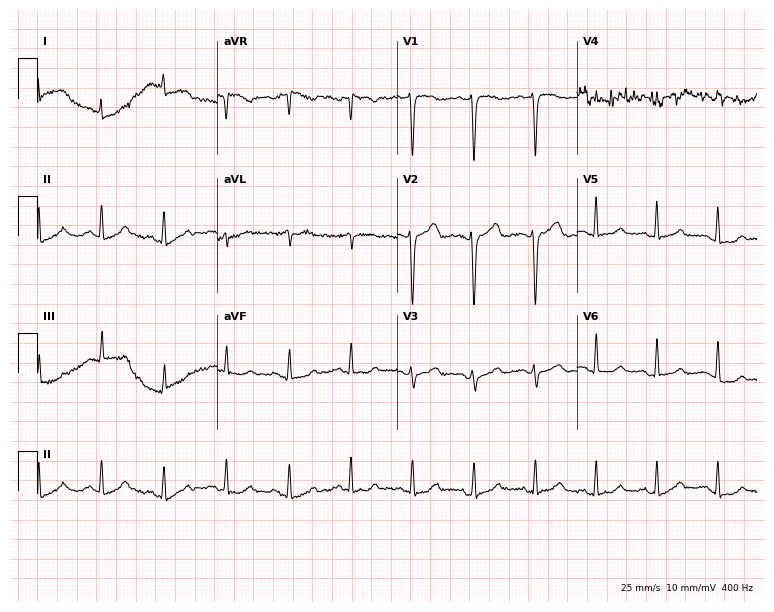
Electrocardiogram, a female patient, 71 years old. Of the six screened findings (first-degree AV block, right bundle branch block, left bundle branch block, sinus bradycardia, atrial fibrillation, sinus tachycardia), none is recorded. Other findings, if any, are not listed.